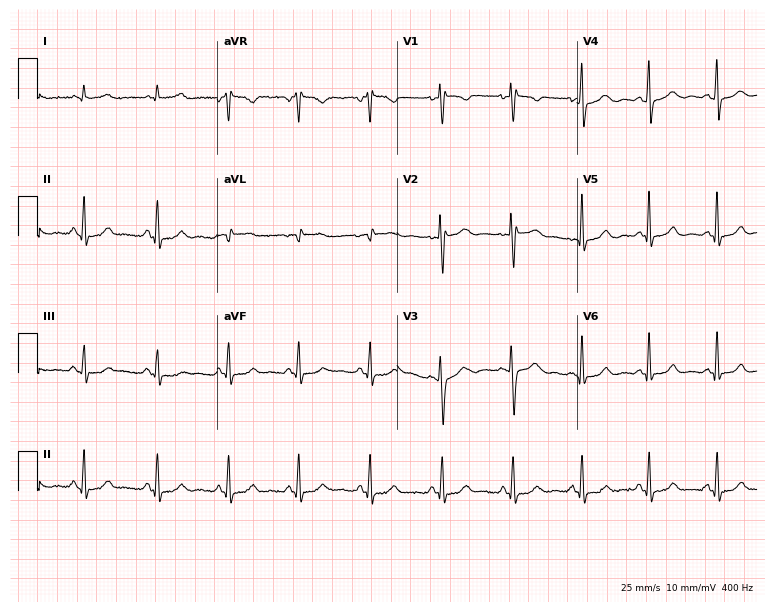
Standard 12-lead ECG recorded from a woman, 45 years old (7.3-second recording at 400 Hz). Read as a normal ECG.